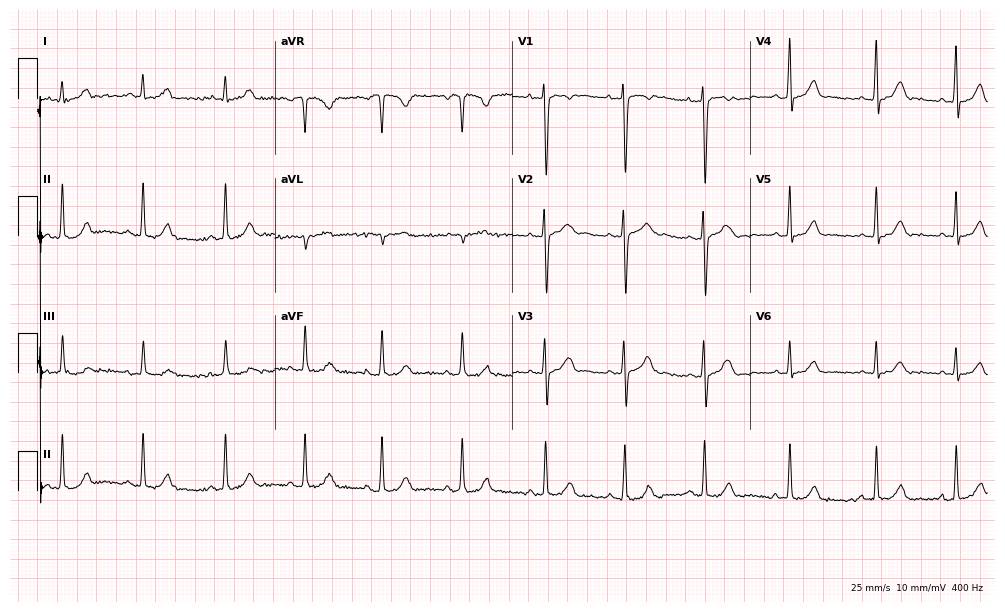
Standard 12-lead ECG recorded from a 22-year-old female patient. Read as a normal ECG.